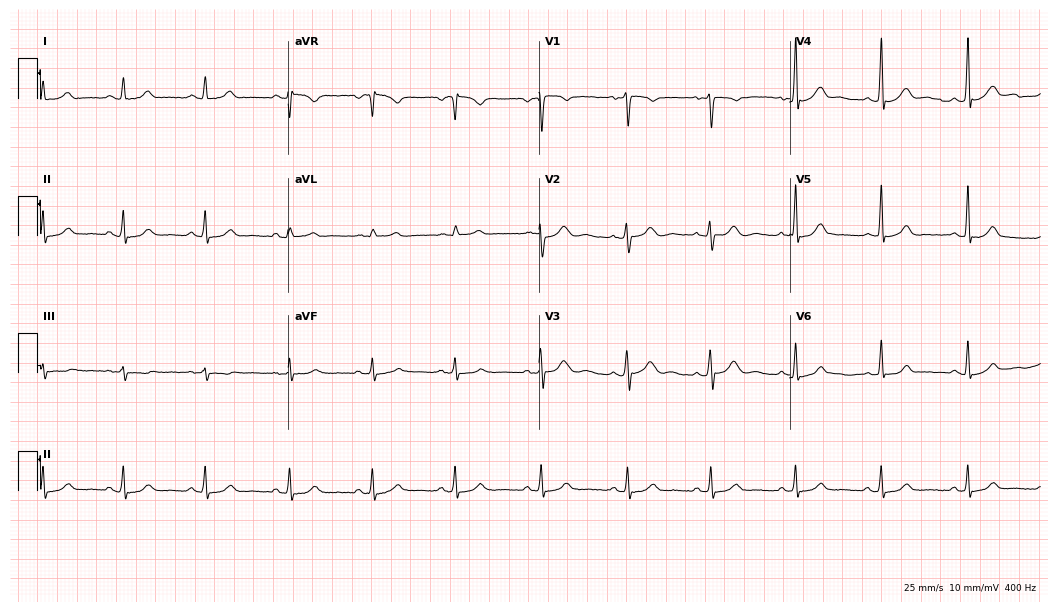
ECG (10.2-second recording at 400 Hz) — a female patient, 41 years old. Labelled as a normal ECG.